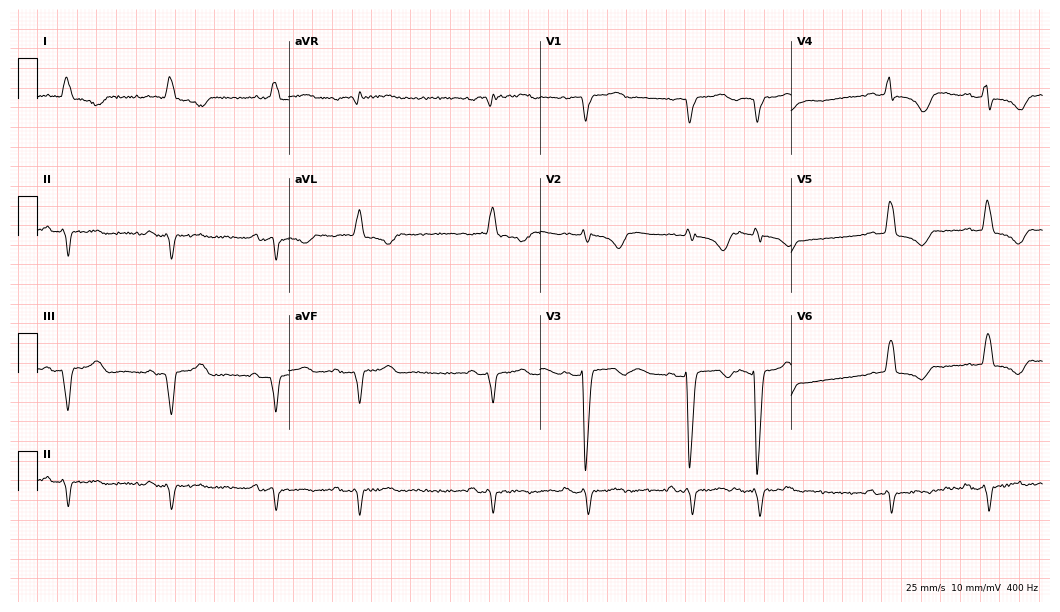
Standard 12-lead ECG recorded from a female patient, 77 years old. The tracing shows left bundle branch block.